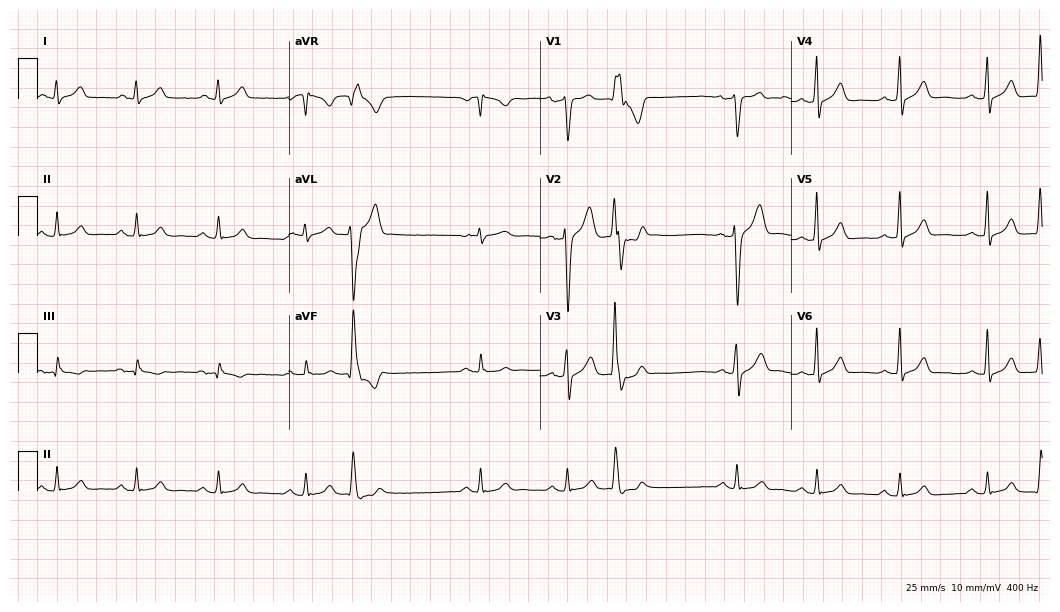
12-lead ECG from a 34-year-old male patient. Recorded interpretation: within normal limits.